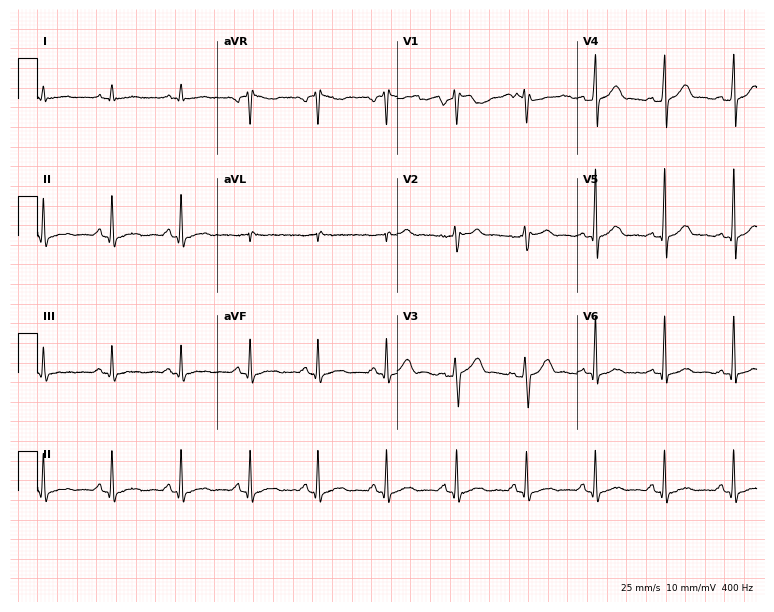
Standard 12-lead ECG recorded from a male patient, 52 years old. Read as a normal ECG.